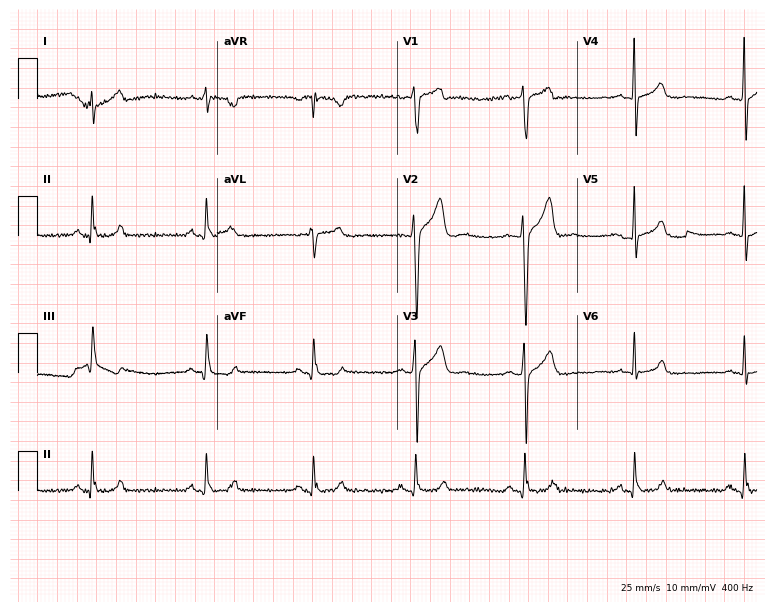
Resting 12-lead electrocardiogram. Patient: a 42-year-old man. None of these six findings is recorded: first-degree AV block, right bundle branch block, left bundle branch block, sinus bradycardia, atrial fibrillation, sinus tachycardia.